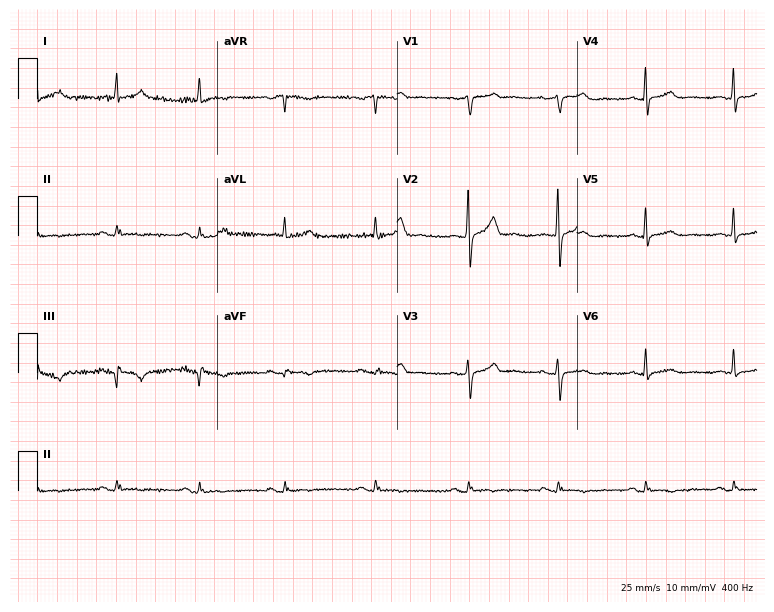
12-lead ECG from a woman, 65 years old (7.3-second recording at 400 Hz). No first-degree AV block, right bundle branch block (RBBB), left bundle branch block (LBBB), sinus bradycardia, atrial fibrillation (AF) or sinus tachycardia recorded for this tracing.